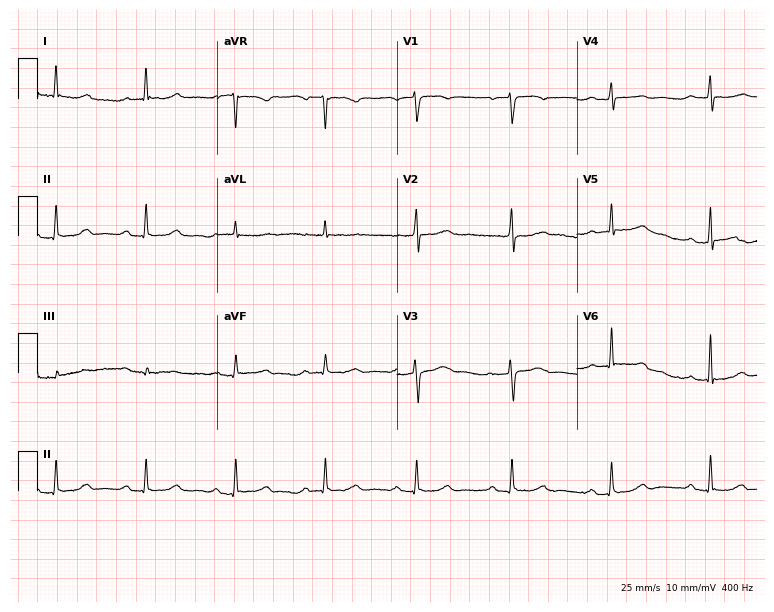
Standard 12-lead ECG recorded from a 61-year-old female patient (7.3-second recording at 400 Hz). Read as a normal ECG.